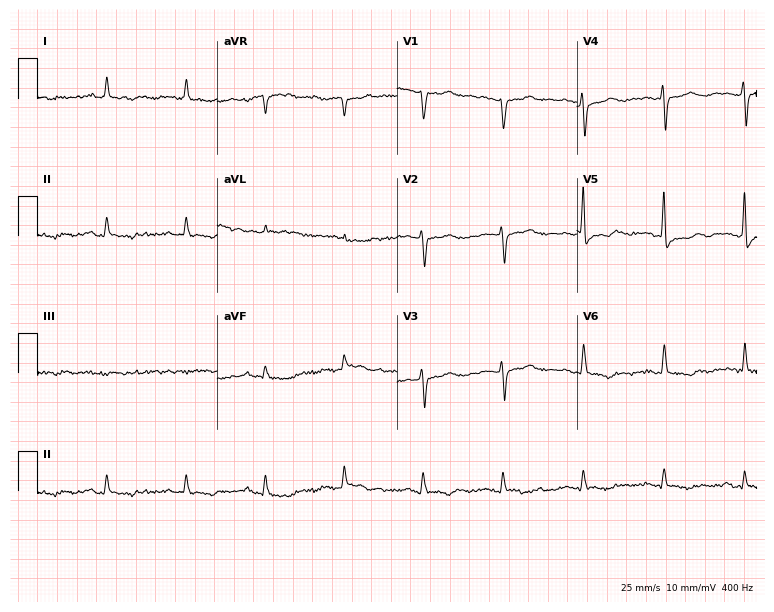
ECG (7.3-second recording at 400 Hz) — a 73-year-old male. Screened for six findings — first-degree AV block, right bundle branch block, left bundle branch block, sinus bradycardia, atrial fibrillation, sinus tachycardia — none is recorded.